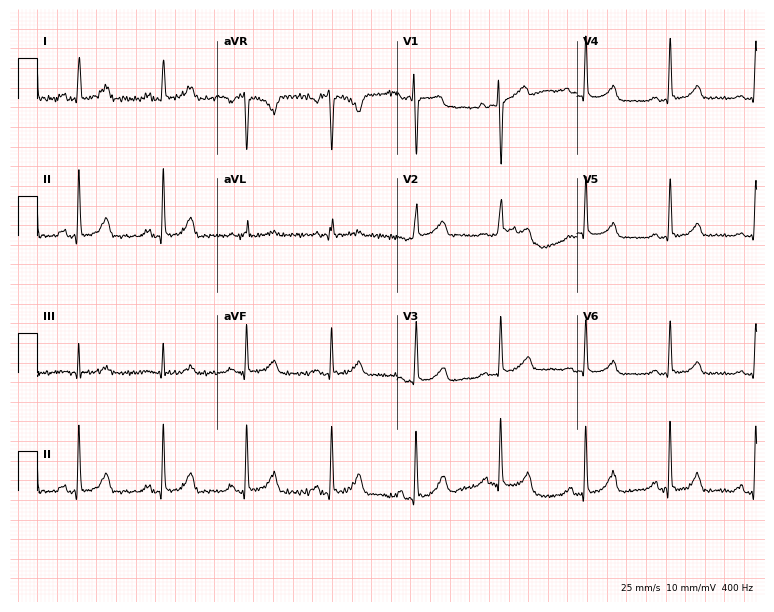
12-lead ECG from a 71-year-old woman (7.3-second recording at 400 Hz). Recorded interpretation: within normal limits.